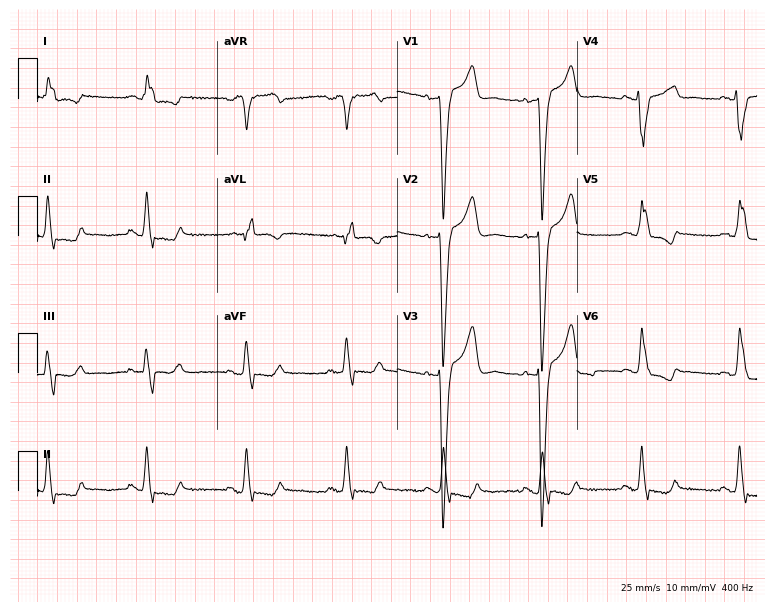
12-lead ECG (7.3-second recording at 400 Hz) from a 77-year-old female. Screened for six findings — first-degree AV block, right bundle branch block, left bundle branch block, sinus bradycardia, atrial fibrillation, sinus tachycardia — none is recorded.